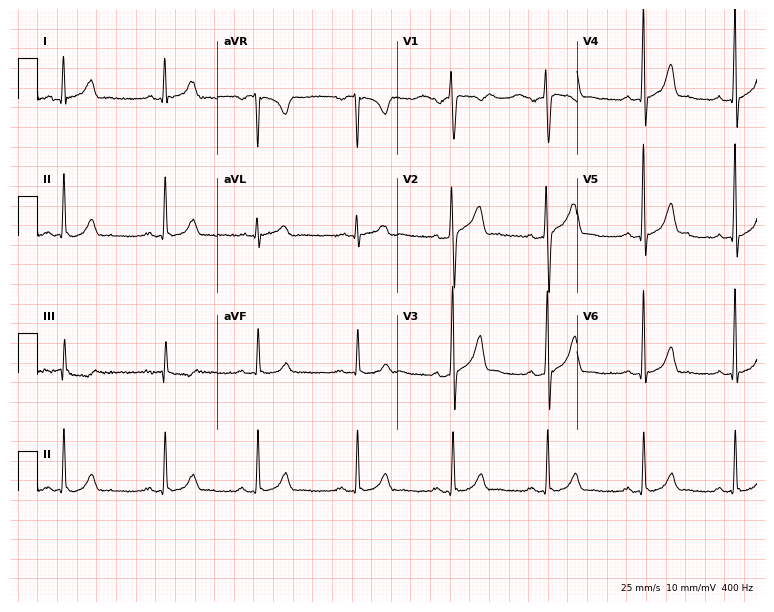
Electrocardiogram, a male patient, 38 years old. Overall reading on record: normal ECG.